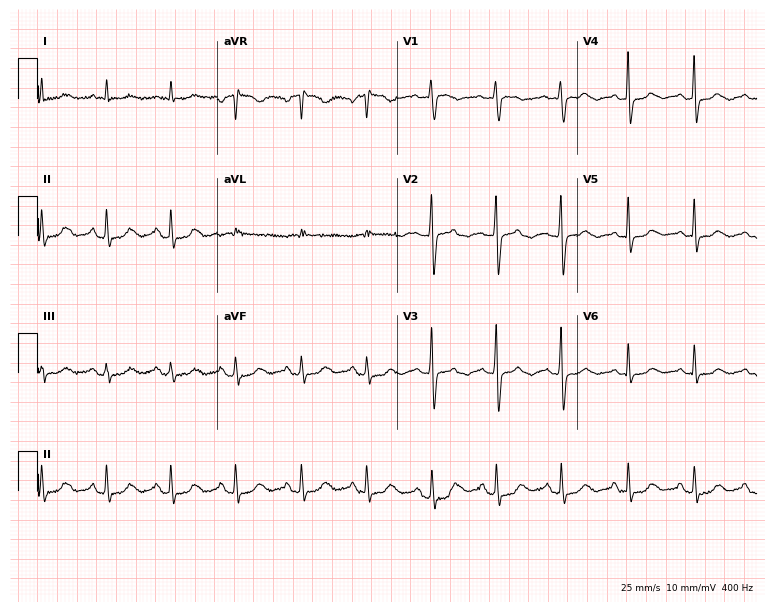
12-lead ECG from a 64-year-old female (7.3-second recording at 400 Hz). Recorded interpretation: within normal limits.